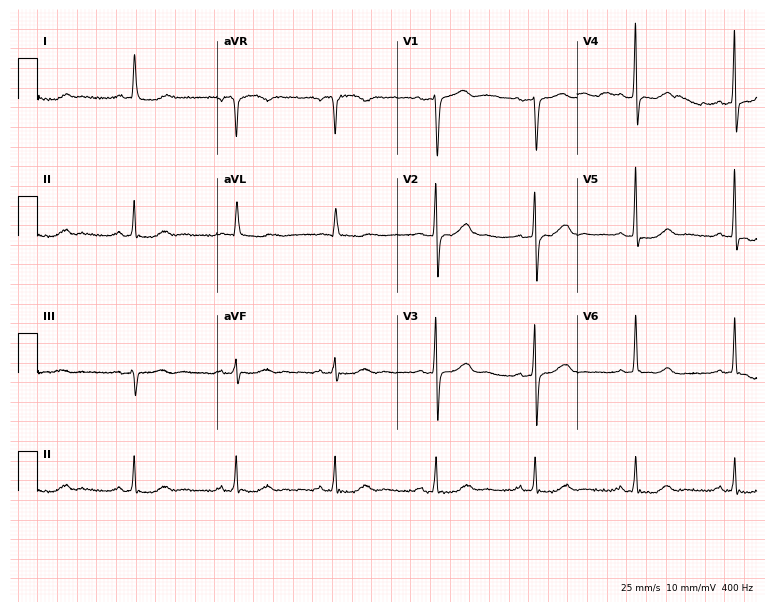
Electrocardiogram (7.3-second recording at 400 Hz), a 78-year-old female patient. Of the six screened findings (first-degree AV block, right bundle branch block (RBBB), left bundle branch block (LBBB), sinus bradycardia, atrial fibrillation (AF), sinus tachycardia), none is recorded. Findings outside these six are not listed.